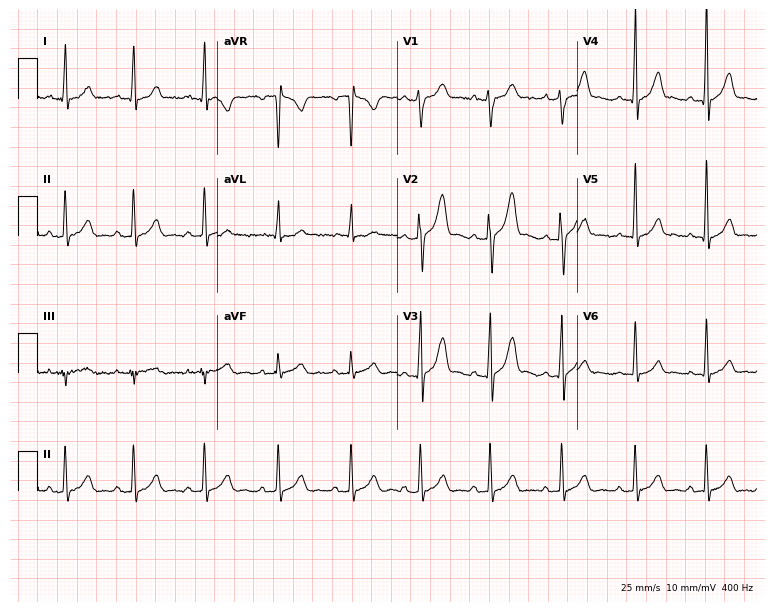
Electrocardiogram, an 18-year-old man. Overall reading on record: normal ECG.